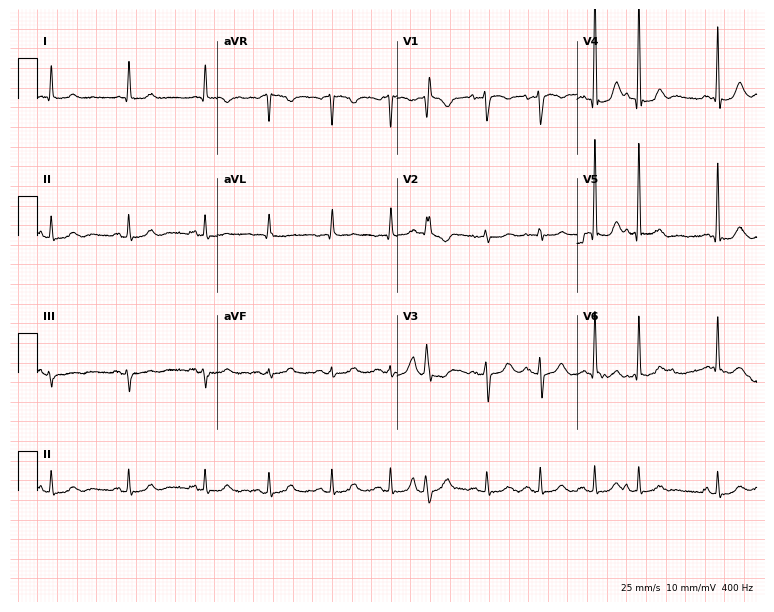
12-lead ECG from a 70-year-old female. Screened for six findings — first-degree AV block, right bundle branch block, left bundle branch block, sinus bradycardia, atrial fibrillation, sinus tachycardia — none is recorded.